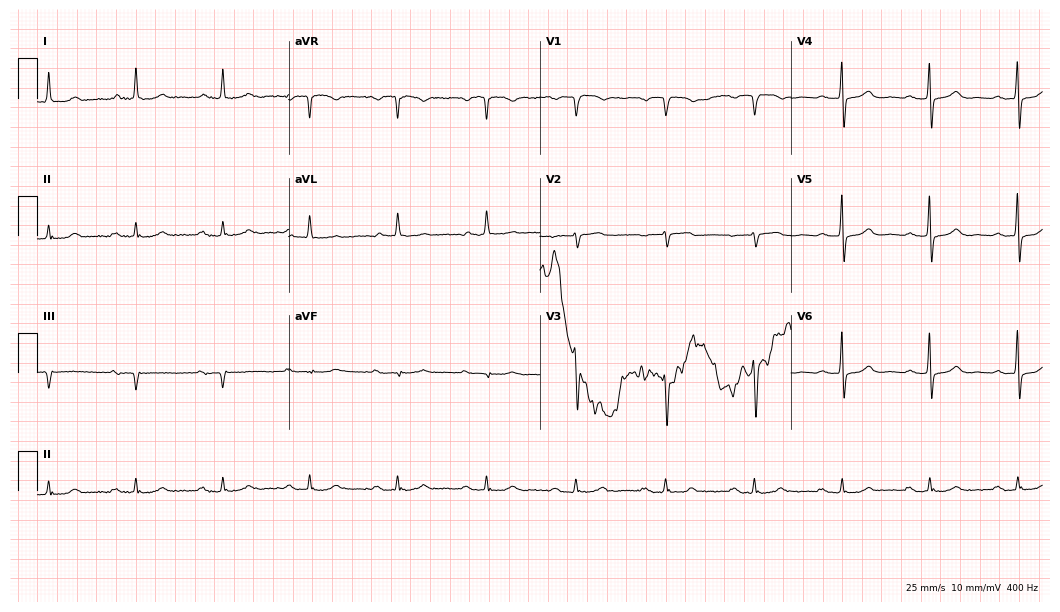
12-lead ECG (10.2-second recording at 400 Hz) from a 31-year-old male patient. Findings include first-degree AV block.